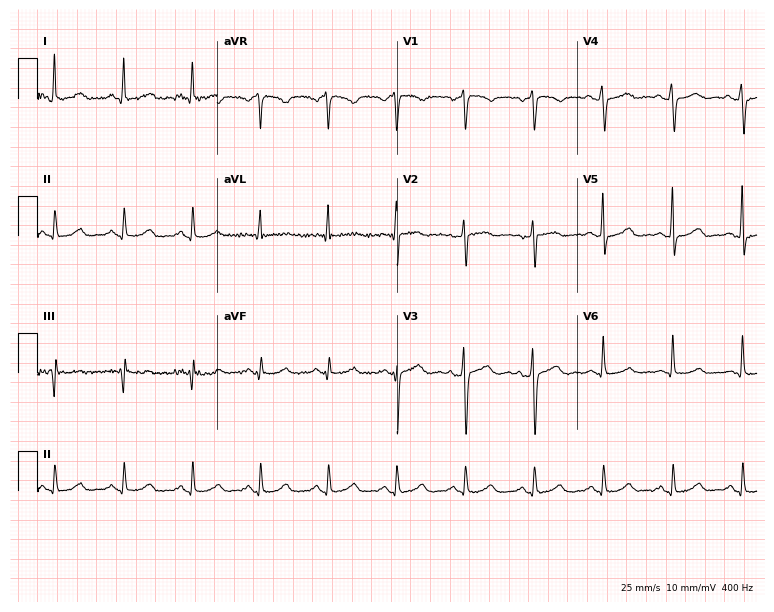
Standard 12-lead ECG recorded from a female patient, 55 years old. None of these six findings is recorded: first-degree AV block, right bundle branch block, left bundle branch block, sinus bradycardia, atrial fibrillation, sinus tachycardia.